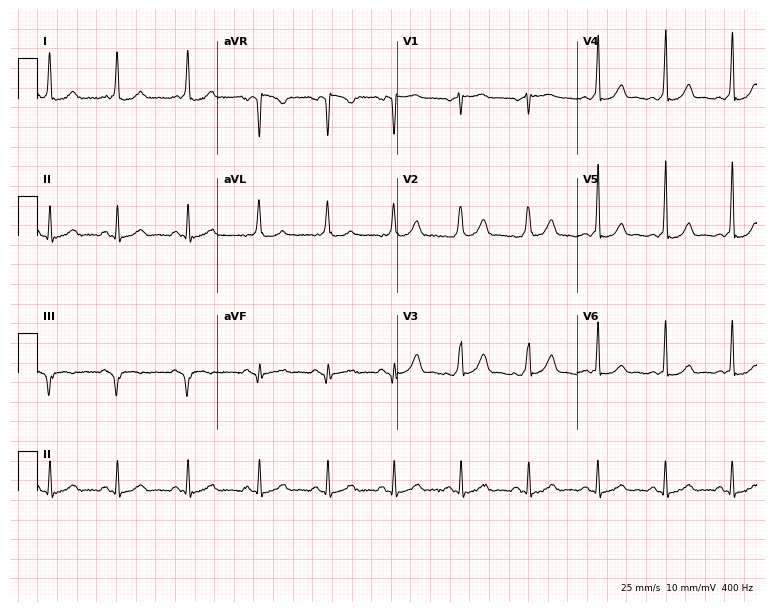
ECG (7.3-second recording at 400 Hz) — a female patient, 35 years old. Screened for six findings — first-degree AV block, right bundle branch block, left bundle branch block, sinus bradycardia, atrial fibrillation, sinus tachycardia — none is recorded.